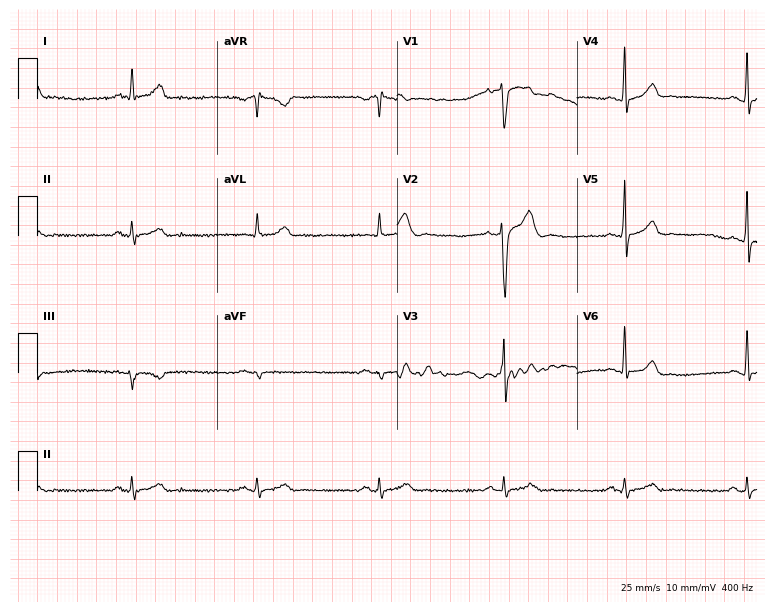
ECG (7.3-second recording at 400 Hz) — a 52-year-old male patient. Labelled as a normal ECG.